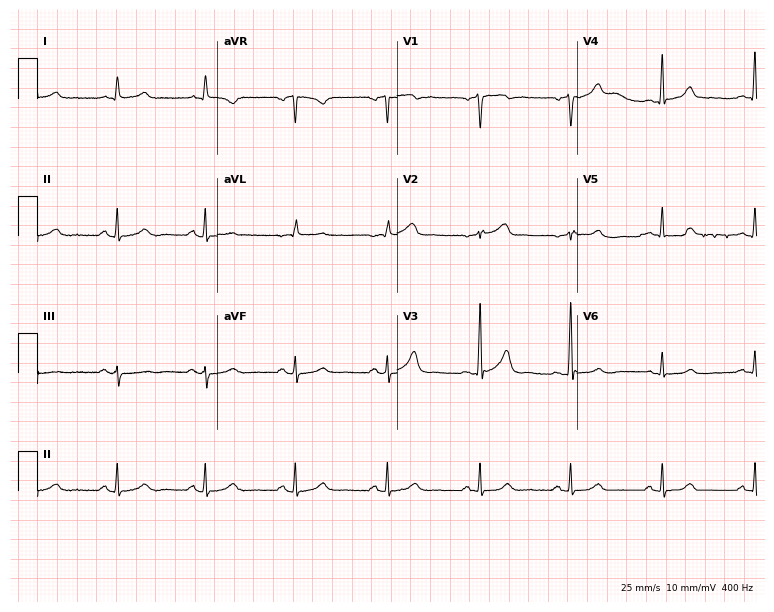
ECG (7.3-second recording at 400 Hz) — a male, 54 years old. Labelled as a normal ECG.